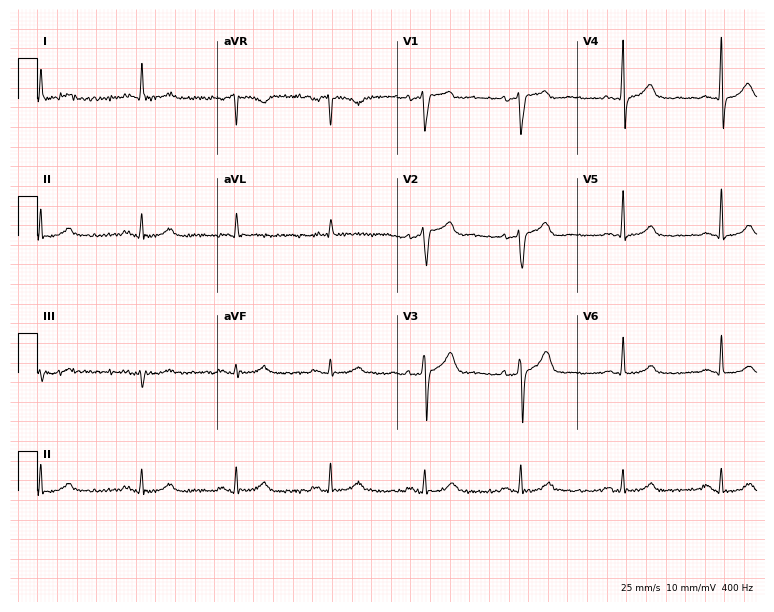
12-lead ECG (7.3-second recording at 400 Hz) from a 69-year-old male patient. Labelled as a normal ECG.